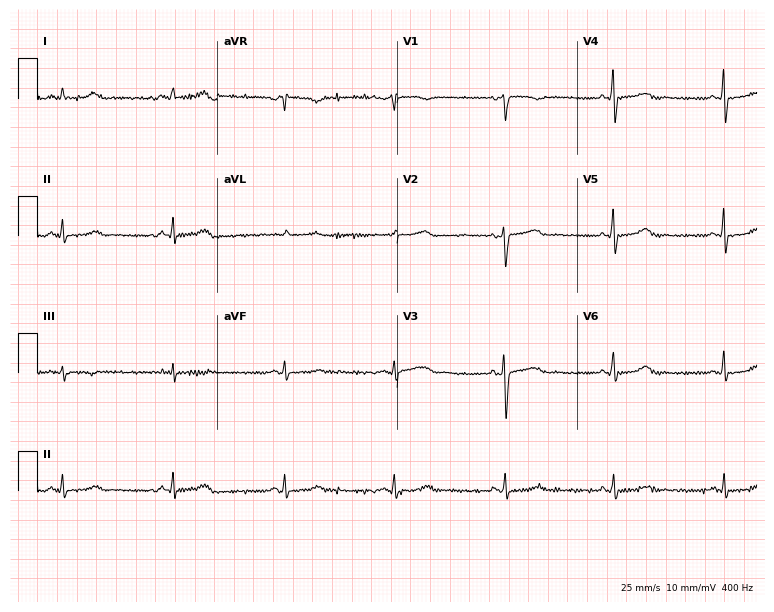
Electrocardiogram (7.3-second recording at 400 Hz), a 44-year-old female. Overall reading on record: normal ECG.